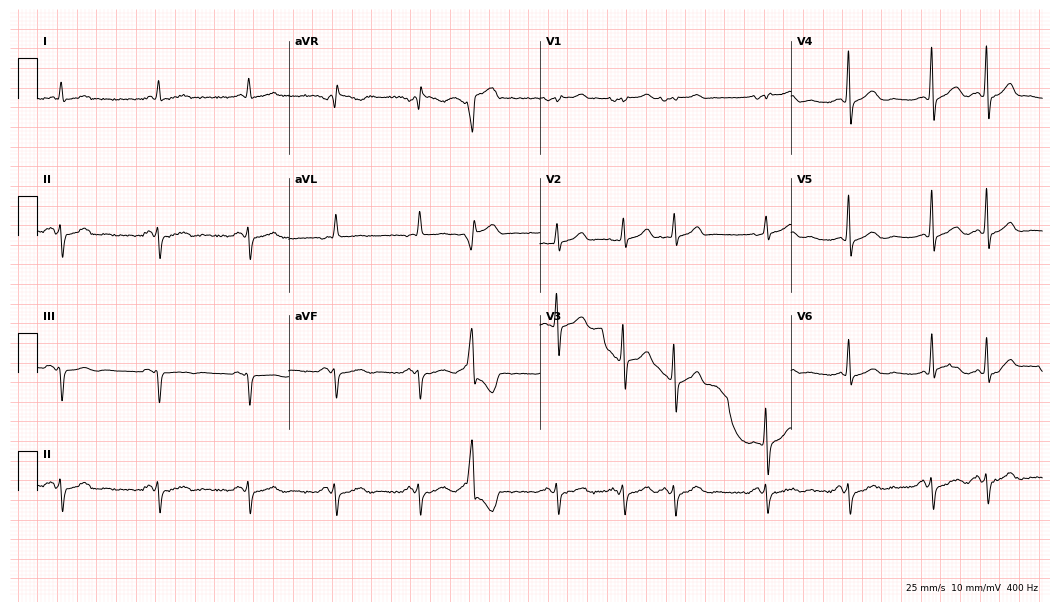
Standard 12-lead ECG recorded from a 70-year-old man. None of these six findings is recorded: first-degree AV block, right bundle branch block (RBBB), left bundle branch block (LBBB), sinus bradycardia, atrial fibrillation (AF), sinus tachycardia.